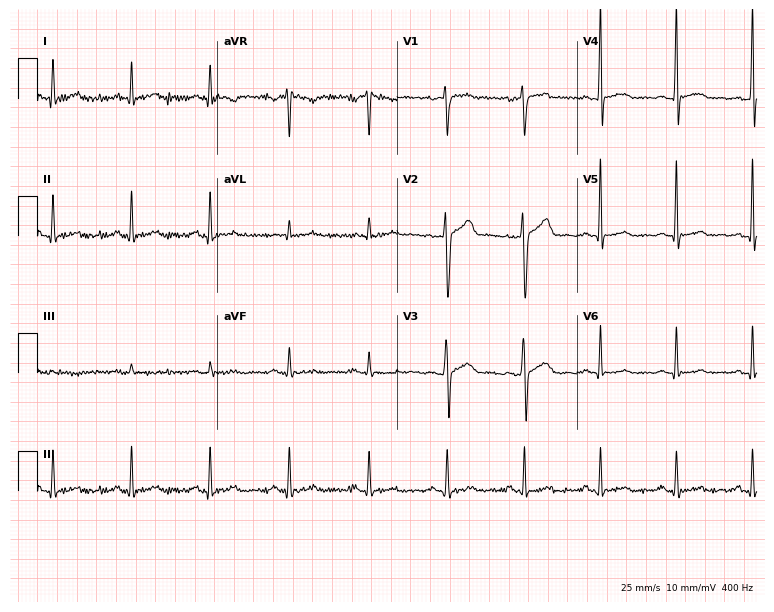
12-lead ECG from a 62-year-old male patient. Recorded interpretation: within normal limits.